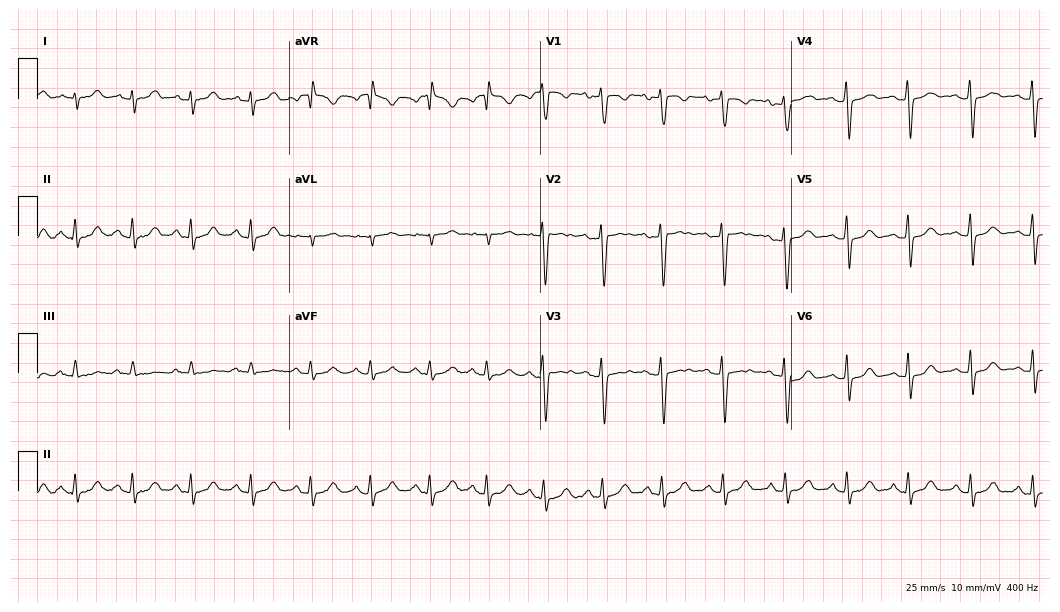
Resting 12-lead electrocardiogram (10.2-second recording at 400 Hz). Patient: a 31-year-old woman. Read as a normal ECG.